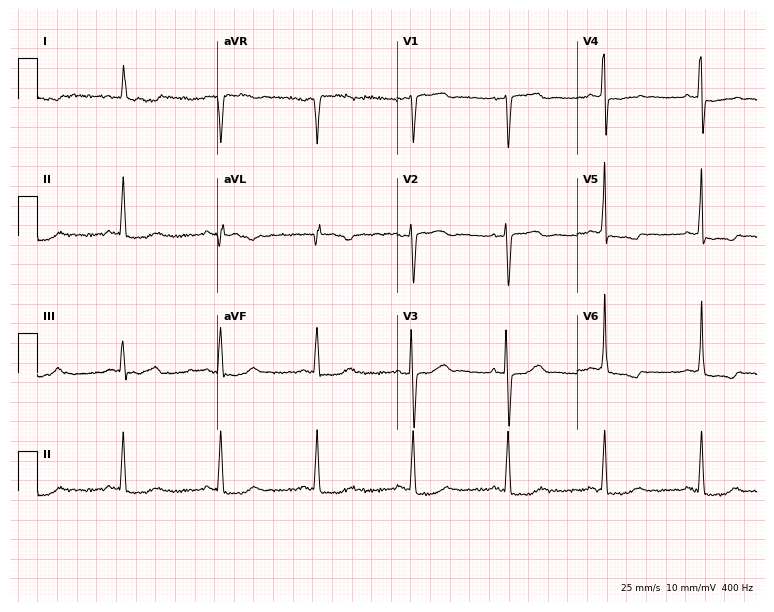
ECG — a 77-year-old female patient. Screened for six findings — first-degree AV block, right bundle branch block, left bundle branch block, sinus bradycardia, atrial fibrillation, sinus tachycardia — none is recorded.